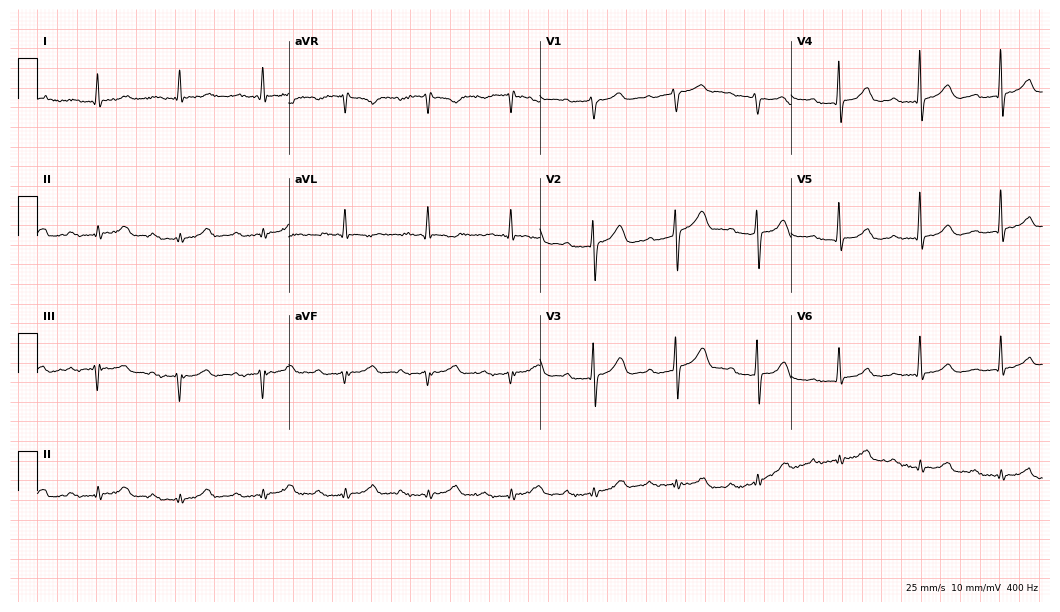
Electrocardiogram (10.2-second recording at 400 Hz), a 74-year-old male patient. Interpretation includes first-degree AV block.